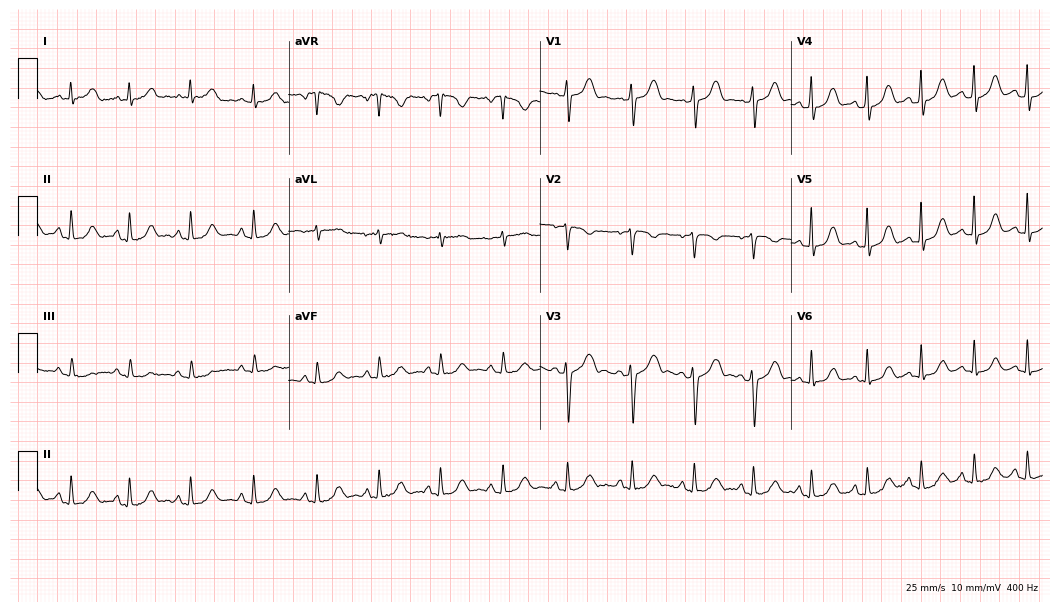
ECG (10.2-second recording at 400 Hz) — a 33-year-old female. Labelled as a normal ECG.